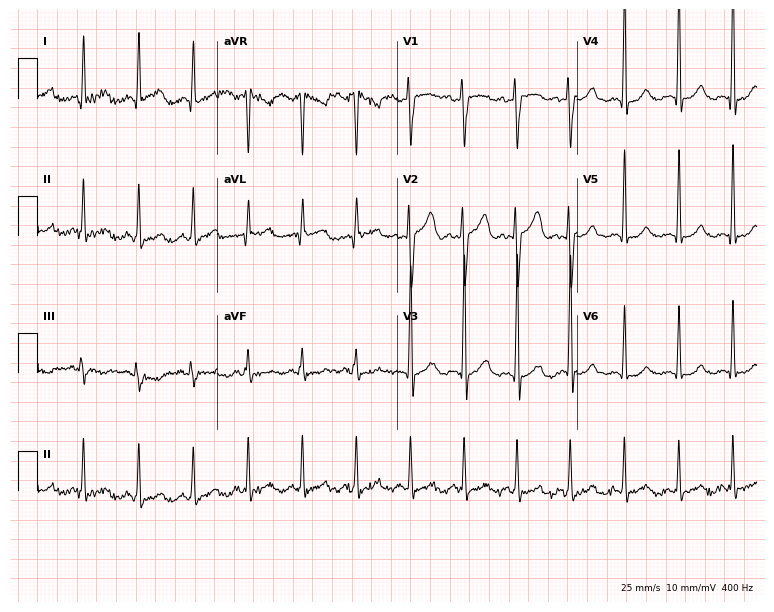
Standard 12-lead ECG recorded from a male, 29 years old (7.3-second recording at 400 Hz). The tracing shows sinus tachycardia (a sinus rate of 100 beats per minute or more).